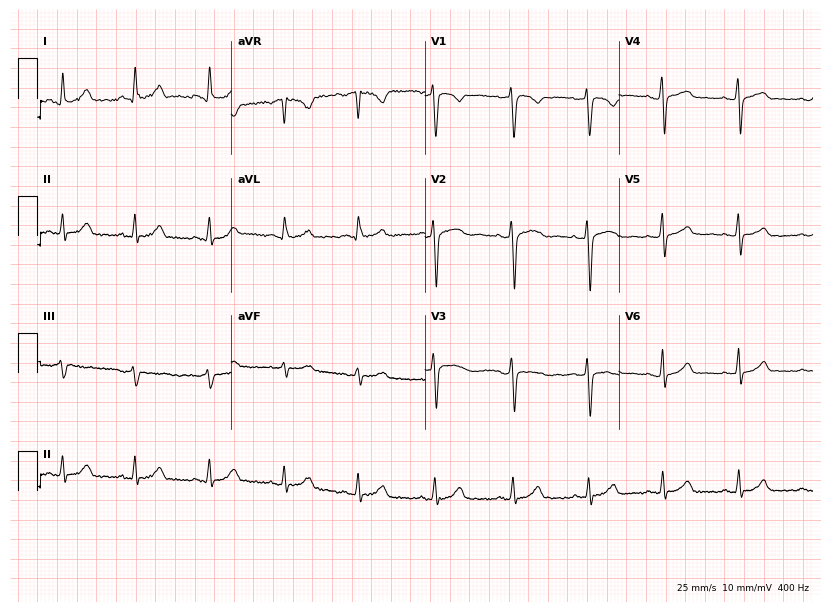
Resting 12-lead electrocardiogram. Patient: a female, 37 years old. Read as a normal ECG.